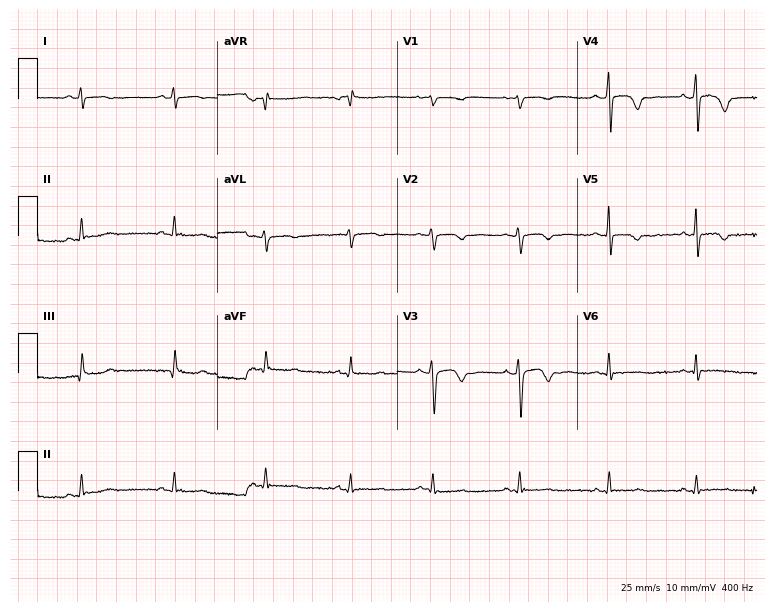
ECG (7.3-second recording at 400 Hz) — a 24-year-old female patient. Screened for six findings — first-degree AV block, right bundle branch block, left bundle branch block, sinus bradycardia, atrial fibrillation, sinus tachycardia — none is recorded. Other findings, if any, are not listed.